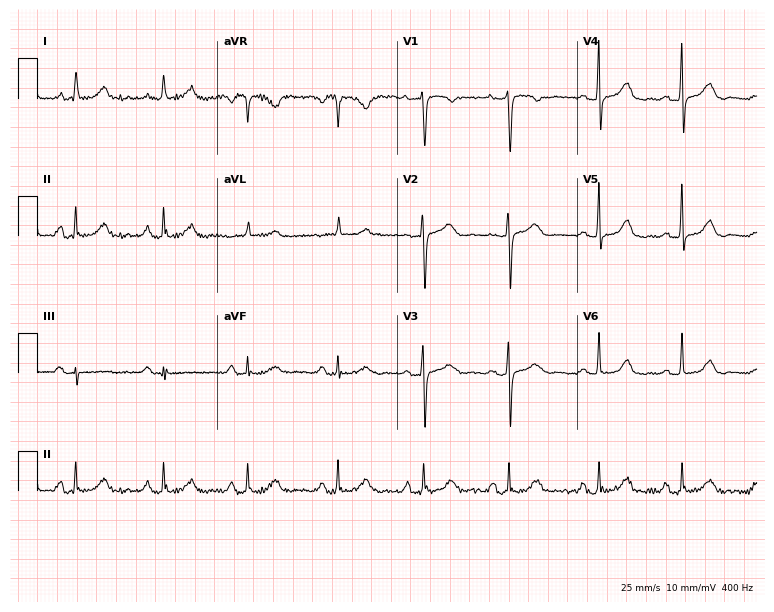
Electrocardiogram, a female patient, 66 years old. Overall reading on record: normal ECG.